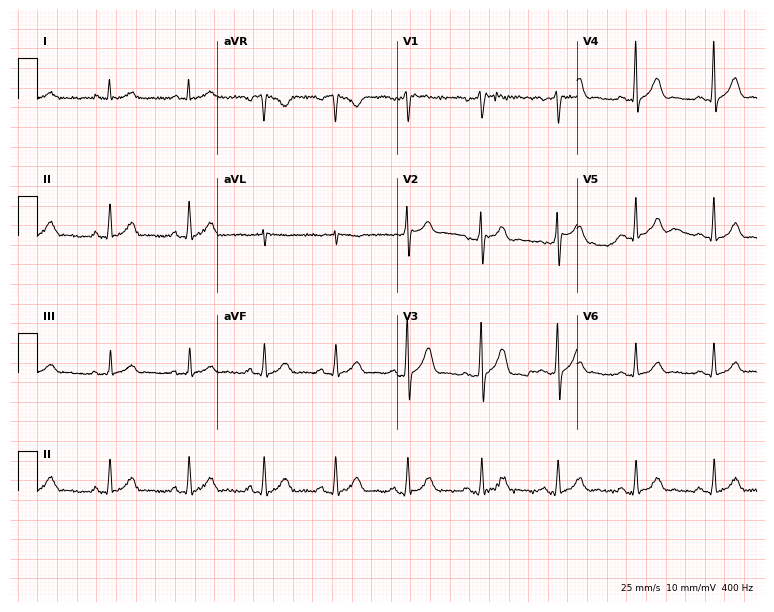
Electrocardiogram (7.3-second recording at 400 Hz), a 44-year-old male. Overall reading on record: normal ECG.